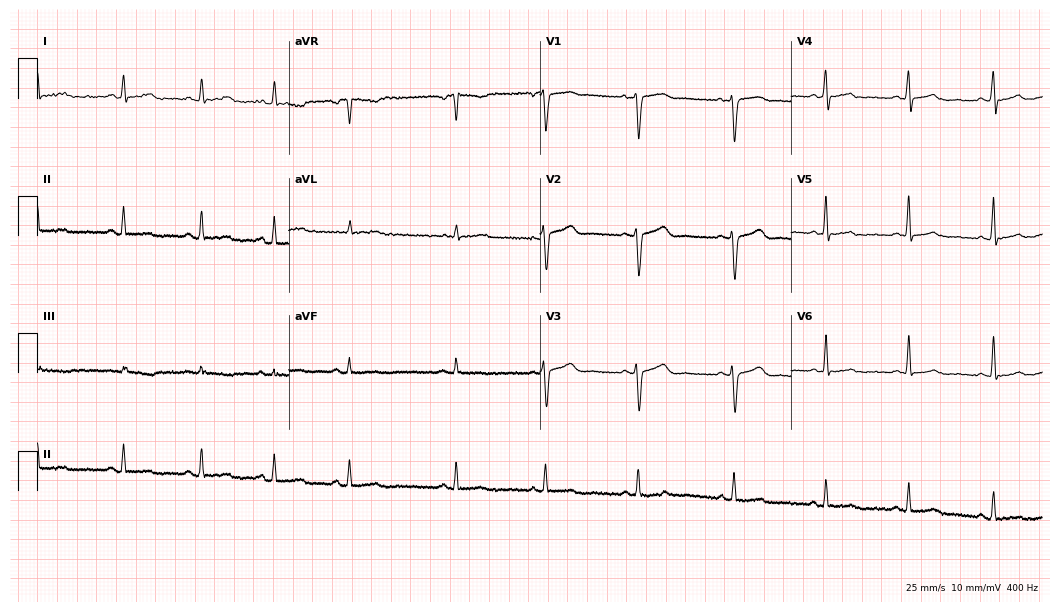
Resting 12-lead electrocardiogram. Patient: a woman, 38 years old. None of these six findings is recorded: first-degree AV block, right bundle branch block, left bundle branch block, sinus bradycardia, atrial fibrillation, sinus tachycardia.